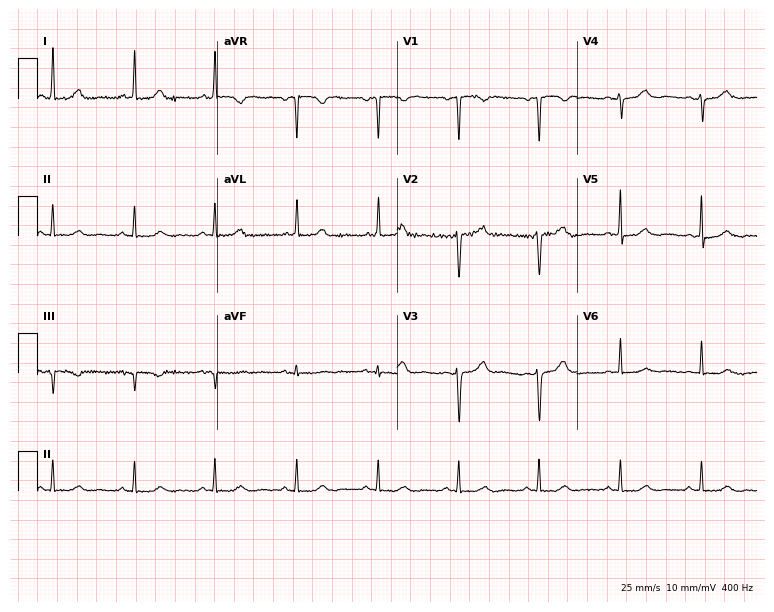
Standard 12-lead ECG recorded from a 79-year-old woman (7.3-second recording at 400 Hz). Read as a normal ECG.